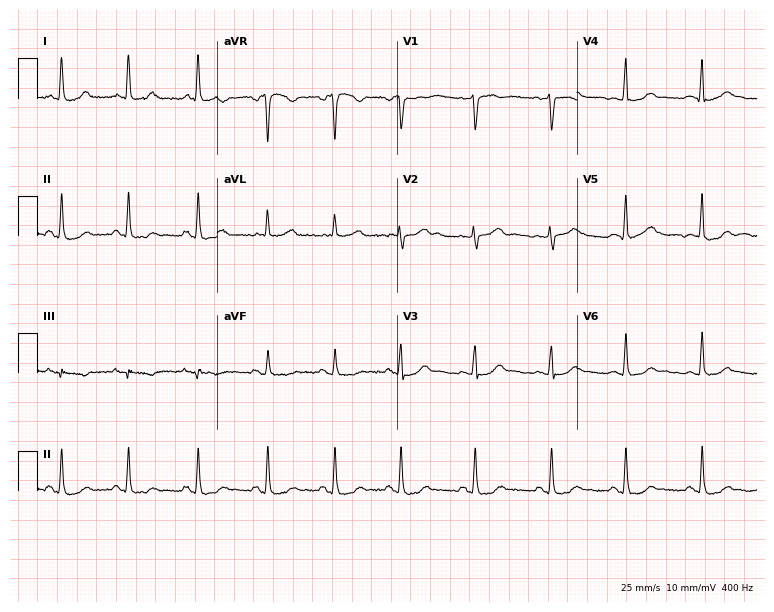
ECG — a female, 44 years old. Screened for six findings — first-degree AV block, right bundle branch block, left bundle branch block, sinus bradycardia, atrial fibrillation, sinus tachycardia — none is recorded. Other findings, if any, are not listed.